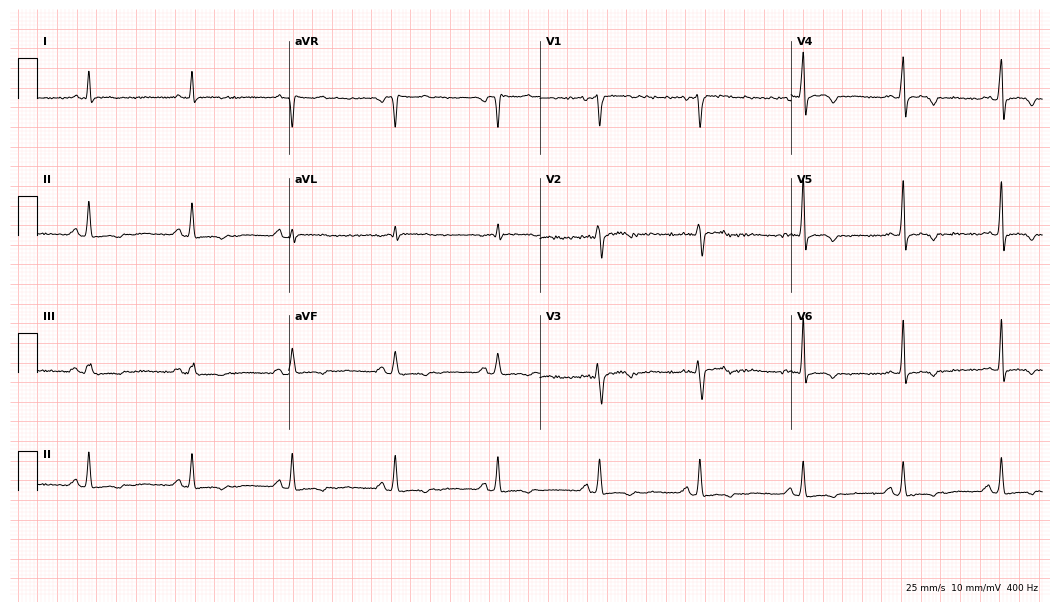
Electrocardiogram (10.2-second recording at 400 Hz), a 57-year-old female patient. Overall reading on record: normal ECG.